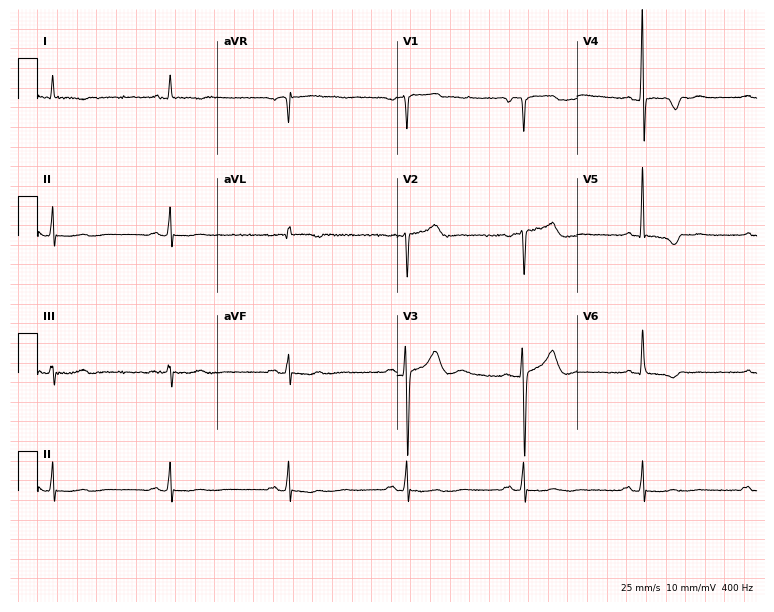
Standard 12-lead ECG recorded from a male patient, 63 years old. The tracing shows sinus bradycardia (a sinus rate of 50 beats per minute or less).